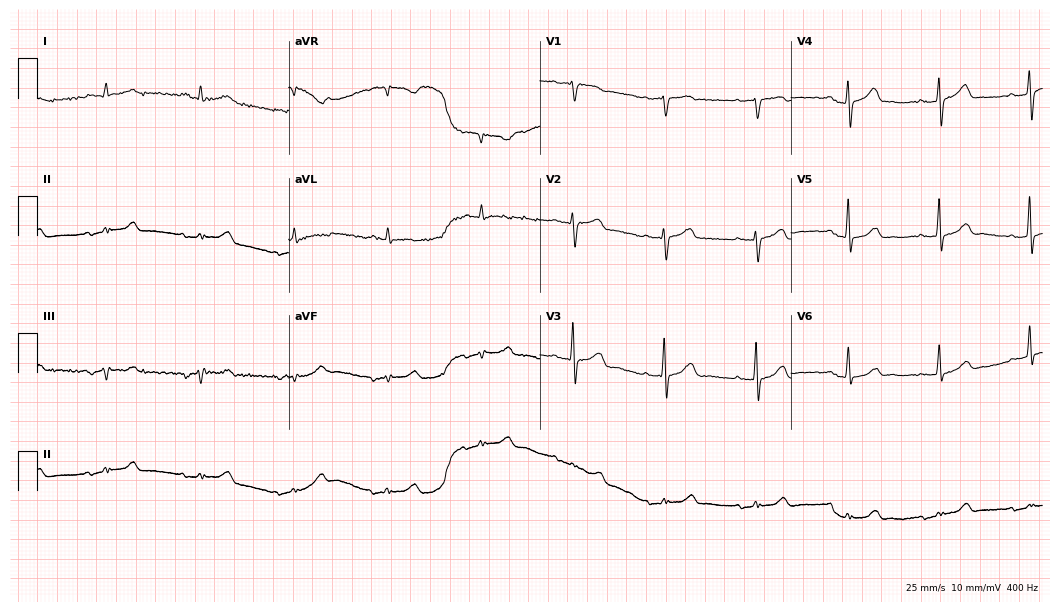
12-lead ECG from a male patient, 81 years old (10.2-second recording at 400 Hz). No first-degree AV block, right bundle branch block, left bundle branch block, sinus bradycardia, atrial fibrillation or sinus tachycardia recorded for this tracing.